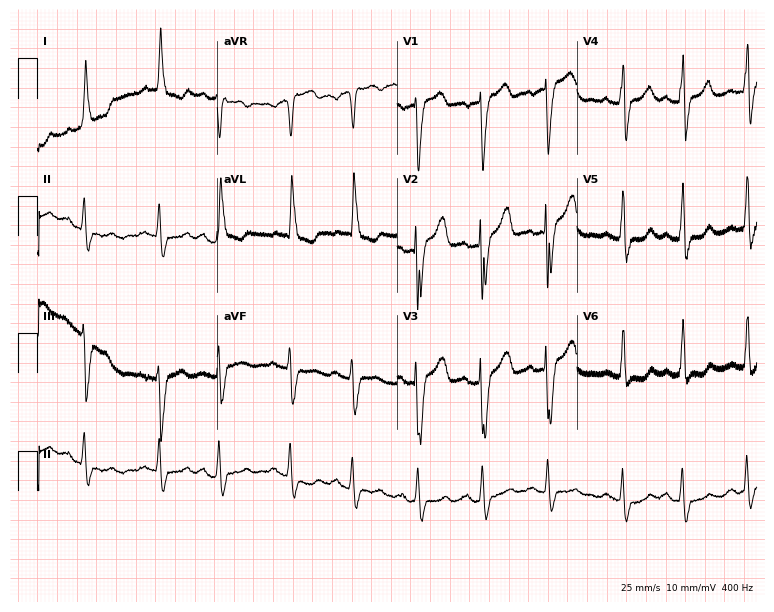
12-lead ECG from an 82-year-old woman. Screened for six findings — first-degree AV block, right bundle branch block (RBBB), left bundle branch block (LBBB), sinus bradycardia, atrial fibrillation (AF), sinus tachycardia — none is recorded.